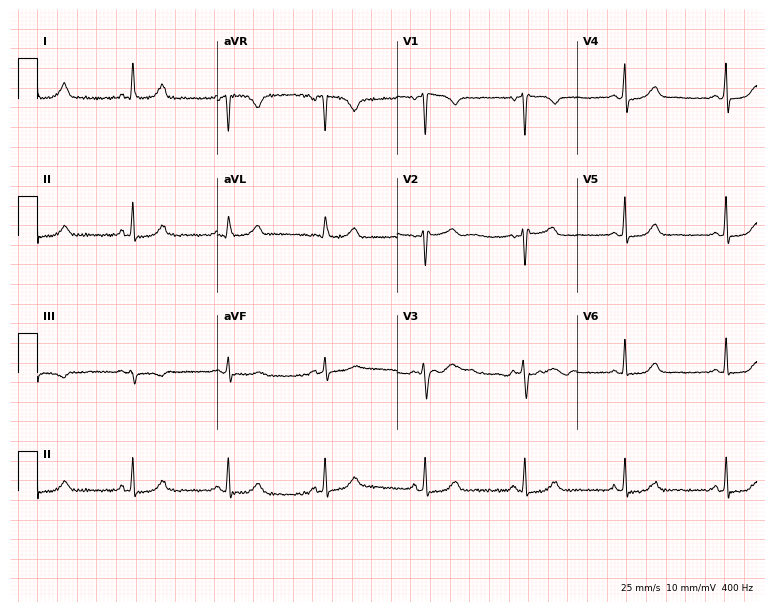
12-lead ECG from a 48-year-old woman (7.3-second recording at 400 Hz). Recorded interpretation: within normal limits.